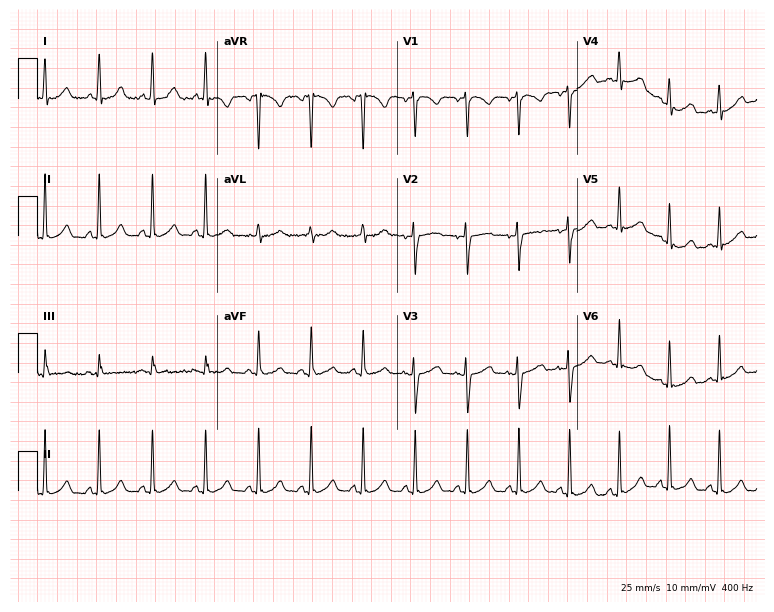
ECG — a 22-year-old female patient. Findings include sinus tachycardia (a sinus rate of 100 beats per minute or more).